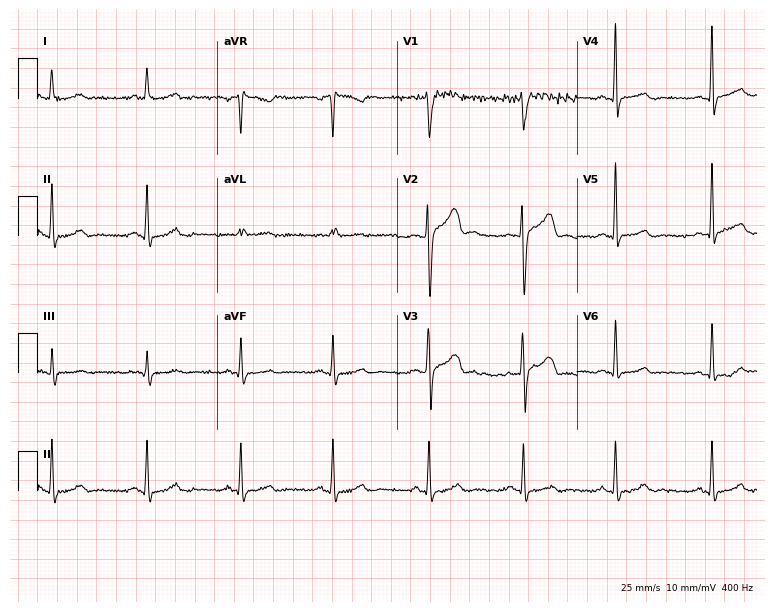
Resting 12-lead electrocardiogram (7.3-second recording at 400 Hz). Patient: a 38-year-old man. Read as a normal ECG.